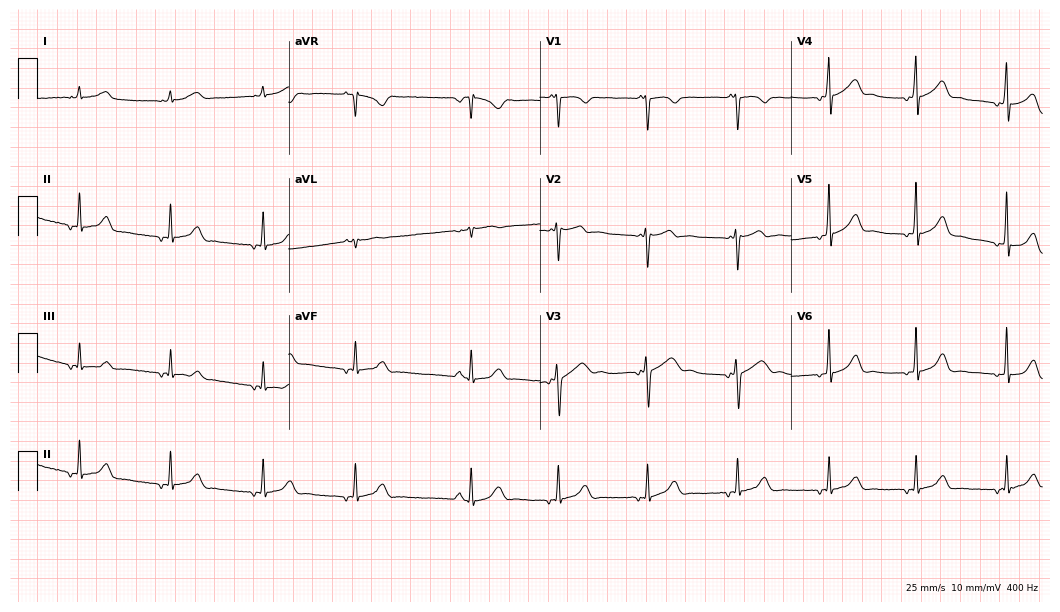
Electrocardiogram (10.2-second recording at 400 Hz), a 30-year-old female patient. Of the six screened findings (first-degree AV block, right bundle branch block, left bundle branch block, sinus bradycardia, atrial fibrillation, sinus tachycardia), none is recorded.